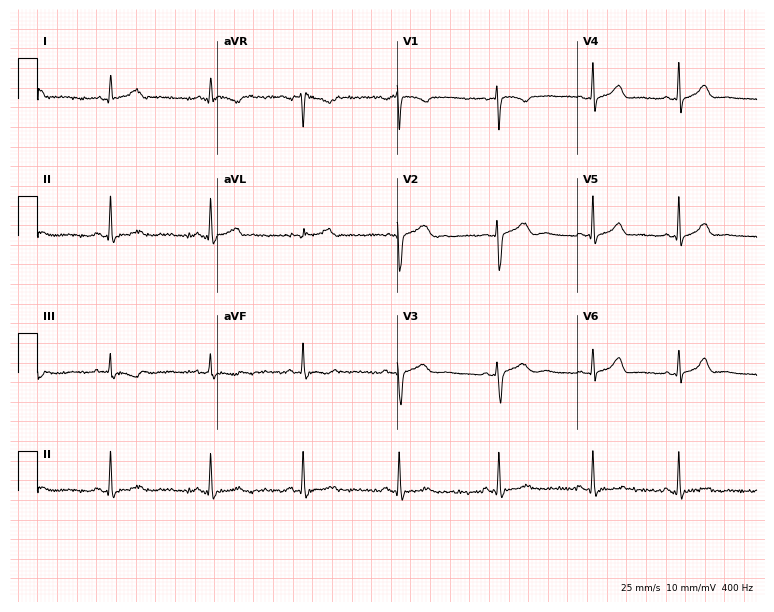
12-lead ECG (7.3-second recording at 400 Hz) from a female, 17 years old. Screened for six findings — first-degree AV block, right bundle branch block, left bundle branch block, sinus bradycardia, atrial fibrillation, sinus tachycardia — none is recorded.